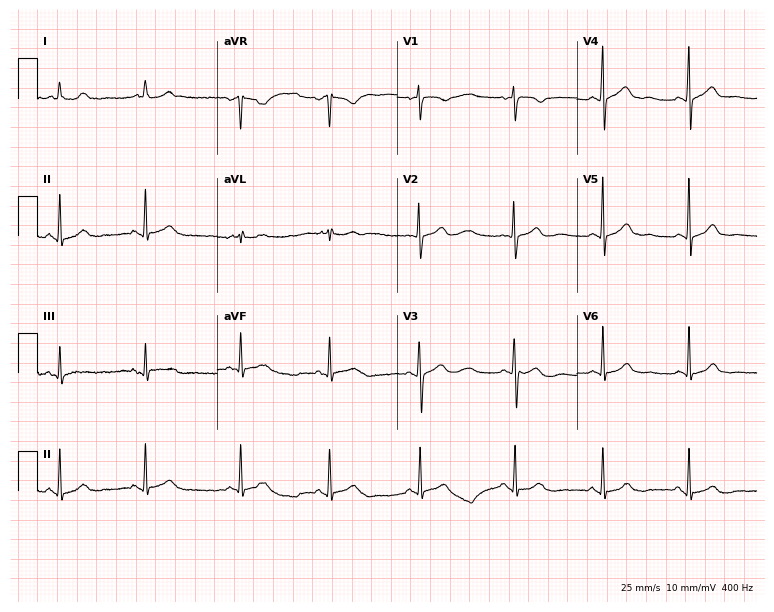
12-lead ECG from a female patient, 21 years old. Labelled as a normal ECG.